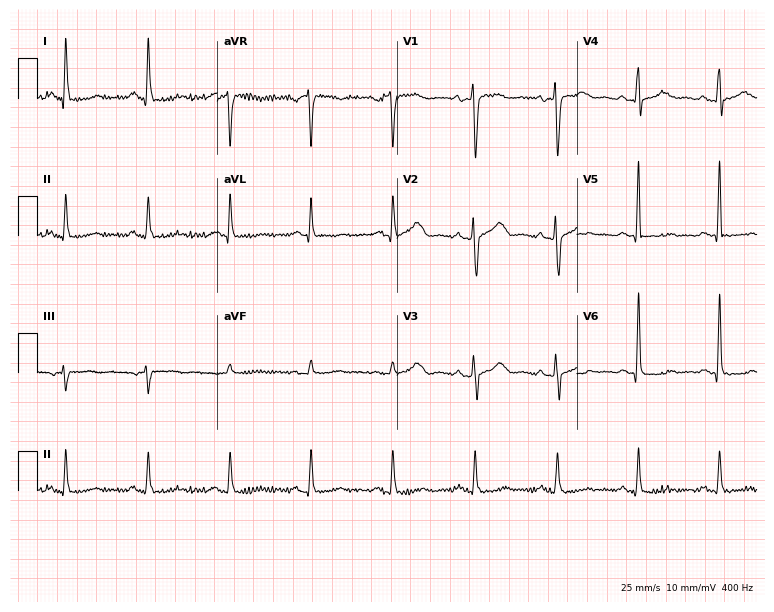
Resting 12-lead electrocardiogram (7.3-second recording at 400 Hz). Patient: a woman, 51 years old. None of these six findings is recorded: first-degree AV block, right bundle branch block, left bundle branch block, sinus bradycardia, atrial fibrillation, sinus tachycardia. Findings outside these six are not listed.